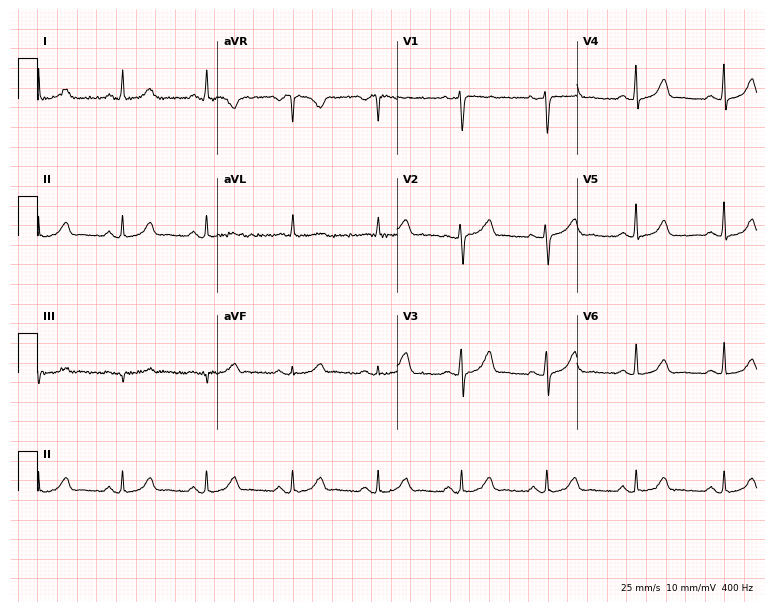
12-lead ECG (7.3-second recording at 400 Hz) from a female patient, 65 years old. Labelled as a normal ECG.